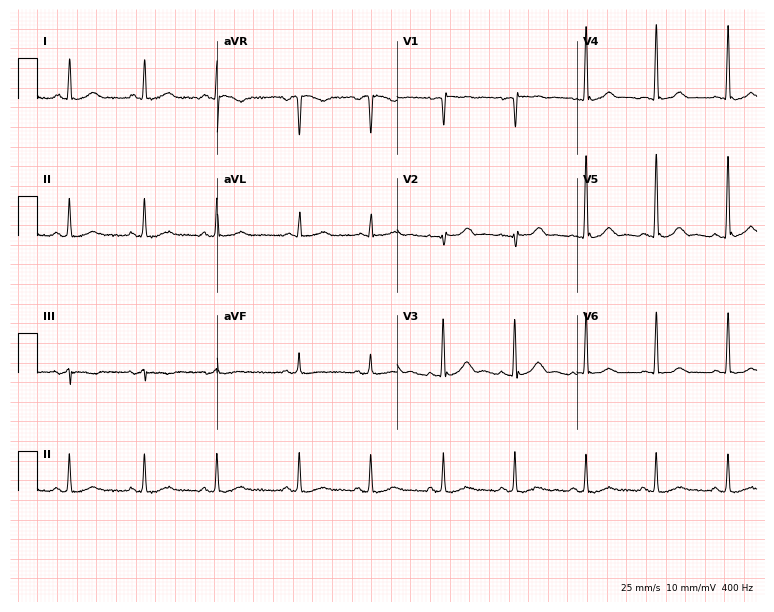
12-lead ECG from a 61-year-old man. No first-degree AV block, right bundle branch block, left bundle branch block, sinus bradycardia, atrial fibrillation or sinus tachycardia recorded for this tracing. Findings outside these six are not listed.